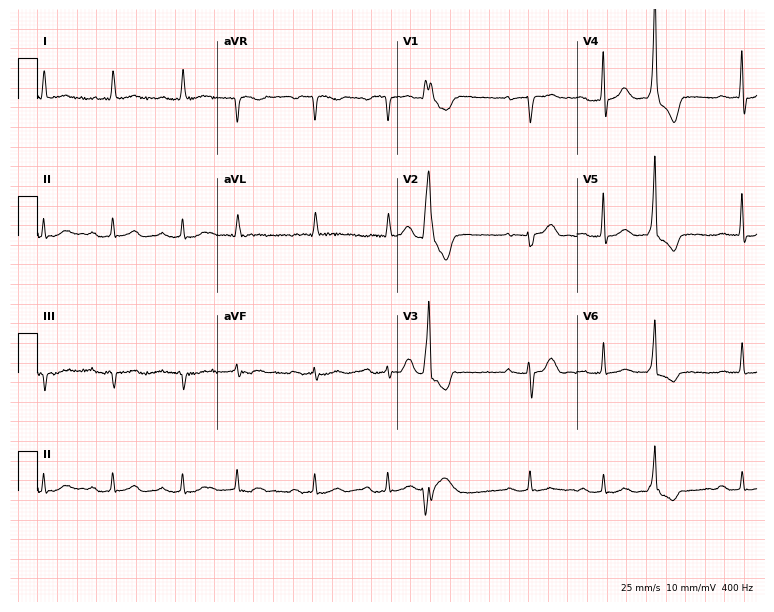
Standard 12-lead ECG recorded from an 84-year-old man (7.3-second recording at 400 Hz). The tracing shows first-degree AV block.